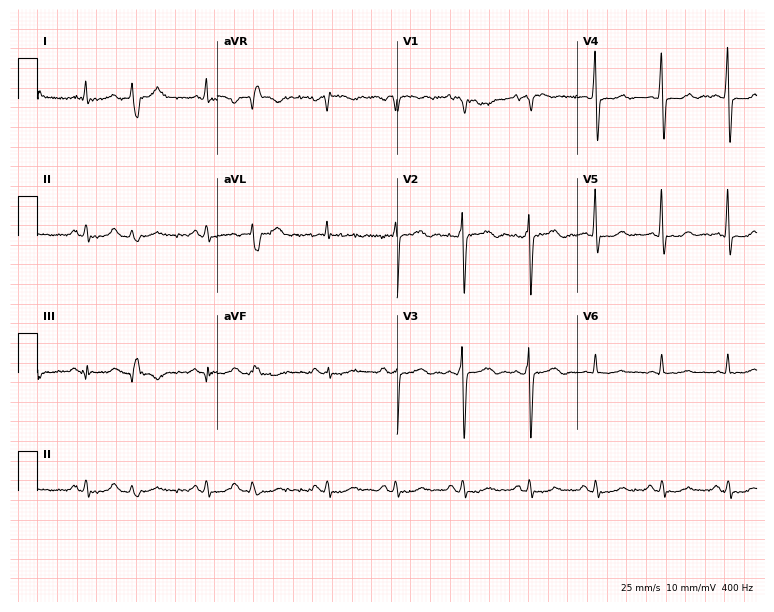
Standard 12-lead ECG recorded from a male, 64 years old. None of these six findings is recorded: first-degree AV block, right bundle branch block (RBBB), left bundle branch block (LBBB), sinus bradycardia, atrial fibrillation (AF), sinus tachycardia. Findings outside these six are not listed.